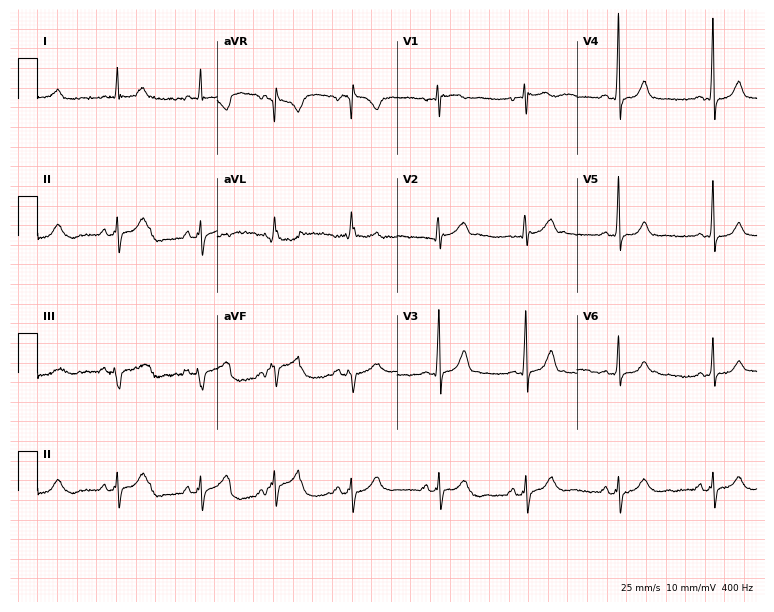
ECG — a female, 50 years old. Labelled as a normal ECG.